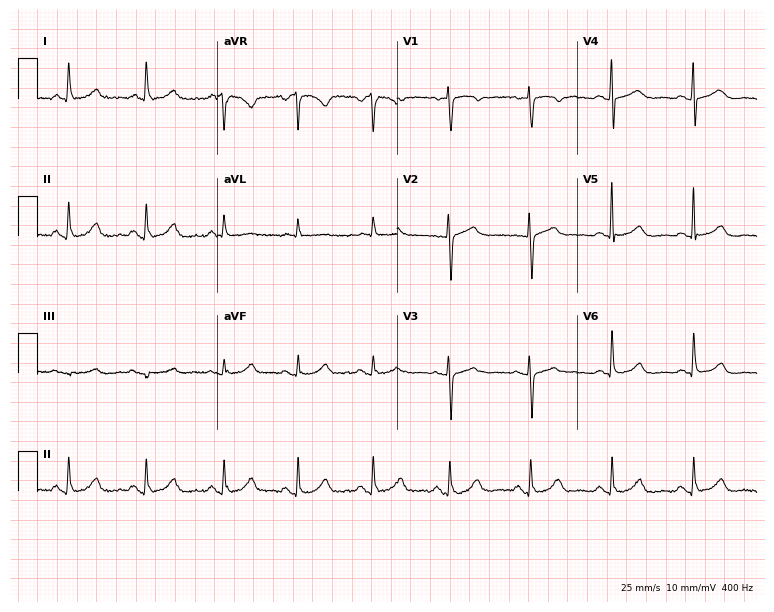
Standard 12-lead ECG recorded from a female, 66 years old. Read as a normal ECG.